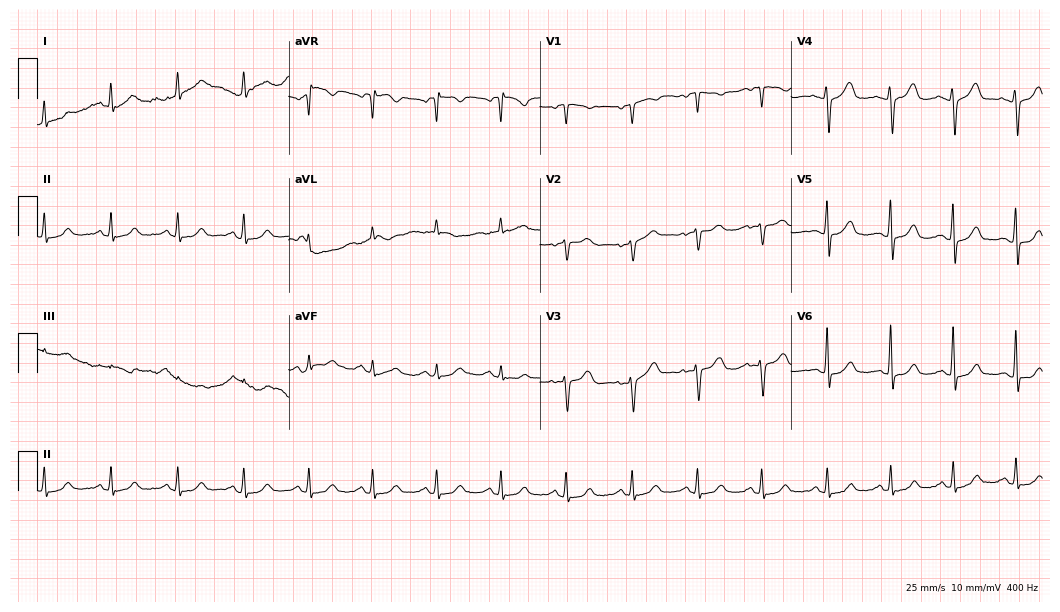
12-lead ECG (10.2-second recording at 400 Hz) from a 63-year-old woman. Labelled as a normal ECG.